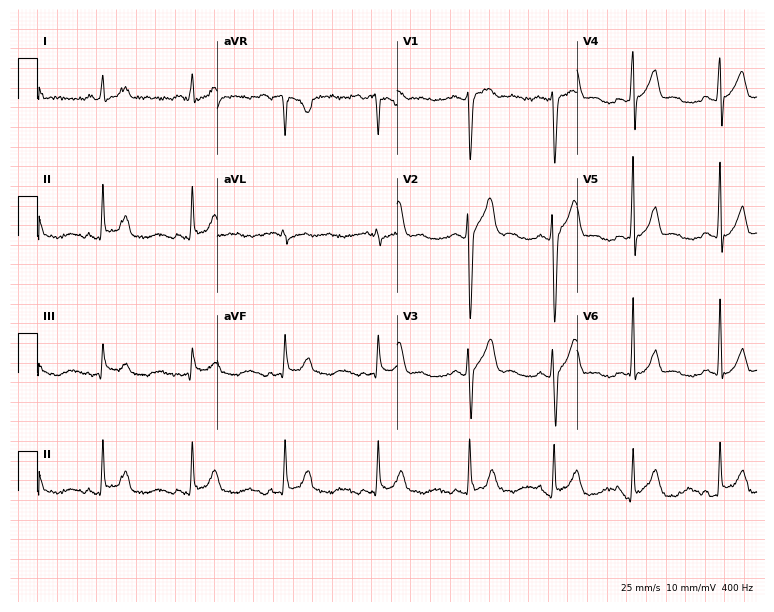
Standard 12-lead ECG recorded from a 20-year-old male patient (7.3-second recording at 400 Hz). None of these six findings is recorded: first-degree AV block, right bundle branch block, left bundle branch block, sinus bradycardia, atrial fibrillation, sinus tachycardia. Only these six findings were labelled.